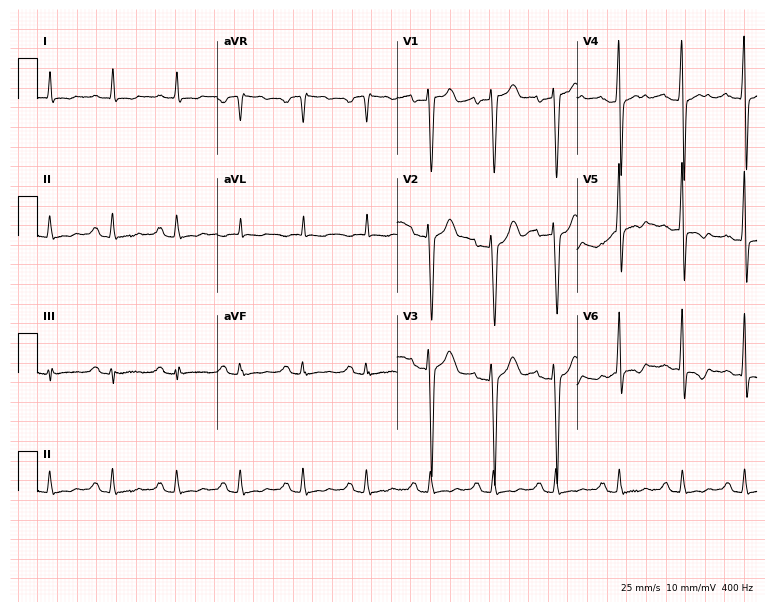
12-lead ECG from a 63-year-old man. Screened for six findings — first-degree AV block, right bundle branch block (RBBB), left bundle branch block (LBBB), sinus bradycardia, atrial fibrillation (AF), sinus tachycardia — none is recorded. Findings outside these six are not listed.